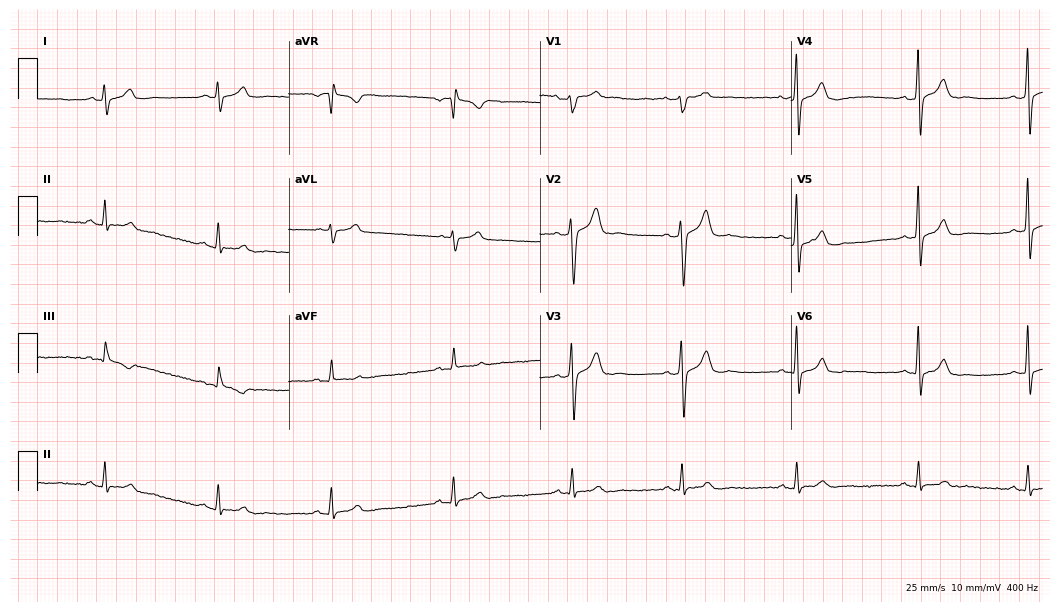
Electrocardiogram (10.2-second recording at 400 Hz), a 38-year-old man. Of the six screened findings (first-degree AV block, right bundle branch block (RBBB), left bundle branch block (LBBB), sinus bradycardia, atrial fibrillation (AF), sinus tachycardia), none is recorded.